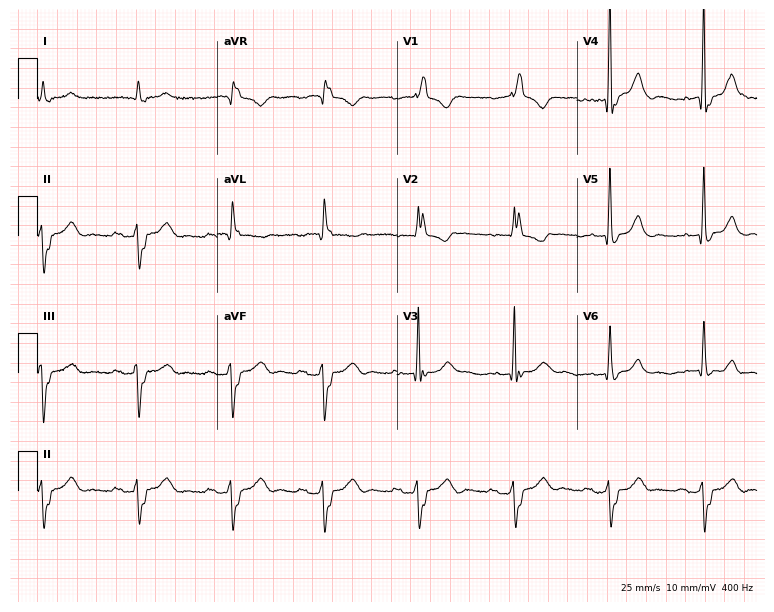
12-lead ECG from a 76-year-old male (7.3-second recording at 400 Hz). Shows right bundle branch block (RBBB).